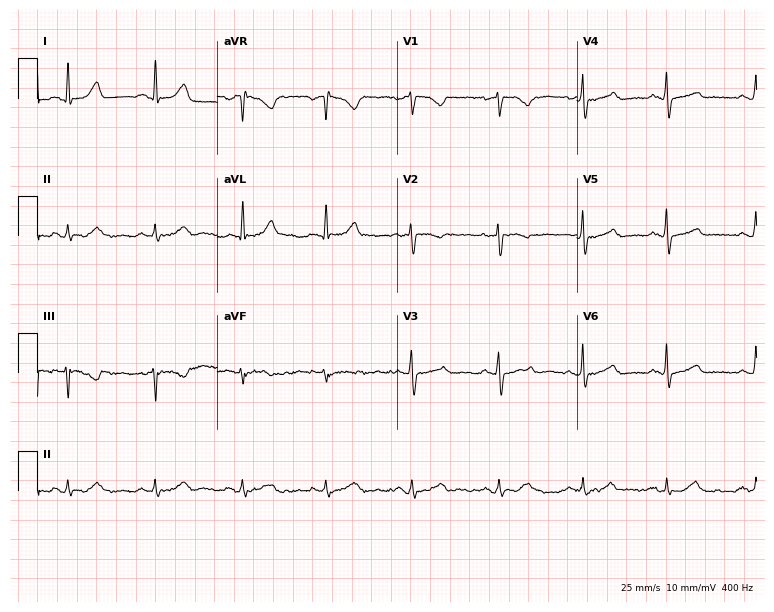
ECG (7.3-second recording at 400 Hz) — a woman, 40 years old. Labelled as a normal ECG.